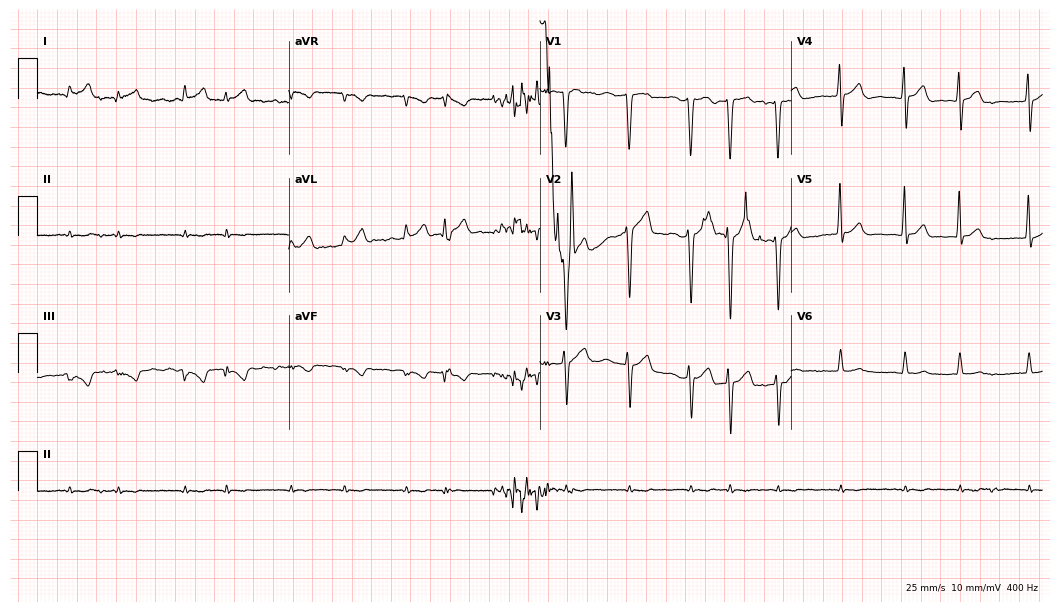
12-lead ECG (10.2-second recording at 400 Hz) from a 72-year-old male. Findings include atrial fibrillation.